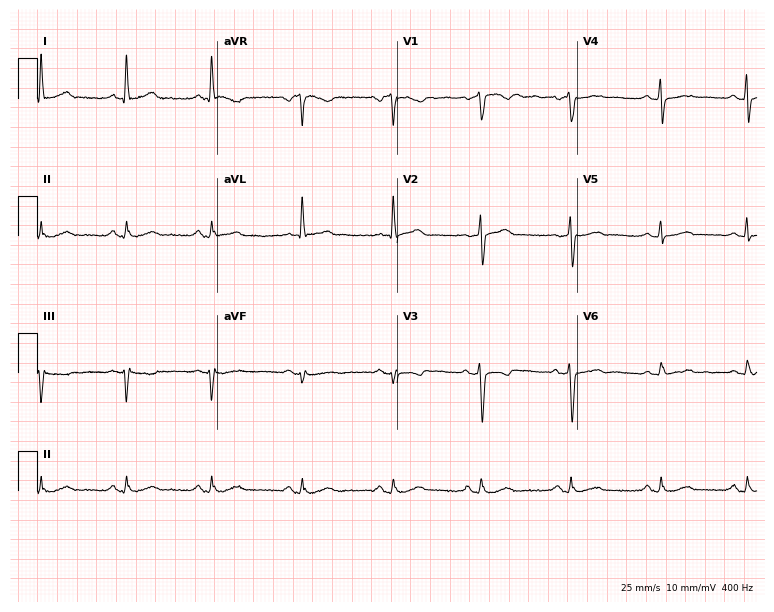
Electrocardiogram, a 49-year-old female. Overall reading on record: normal ECG.